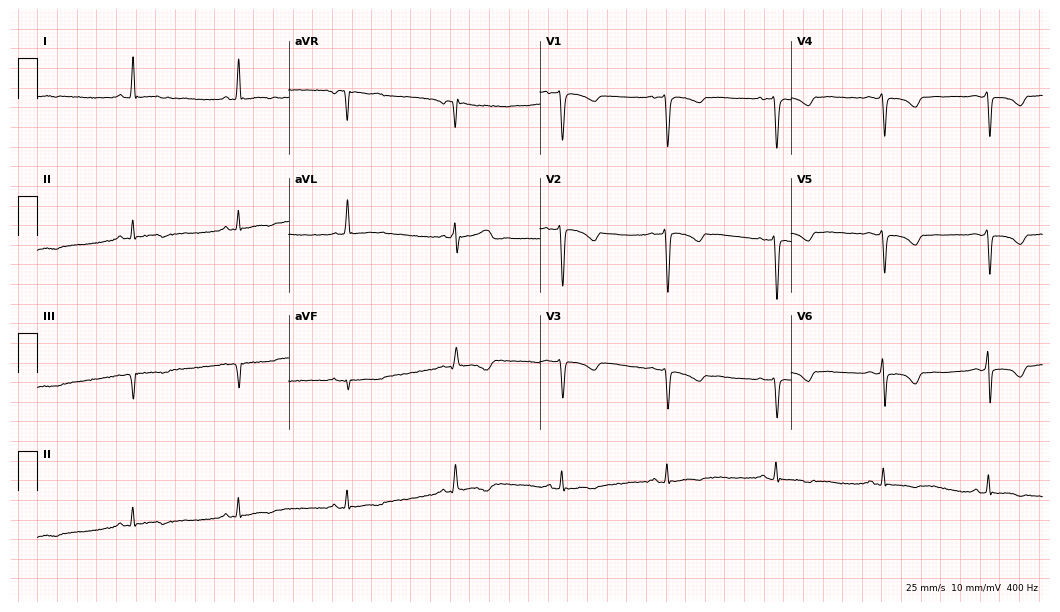
Resting 12-lead electrocardiogram (10.2-second recording at 400 Hz). Patient: a female, 45 years old. None of these six findings is recorded: first-degree AV block, right bundle branch block, left bundle branch block, sinus bradycardia, atrial fibrillation, sinus tachycardia.